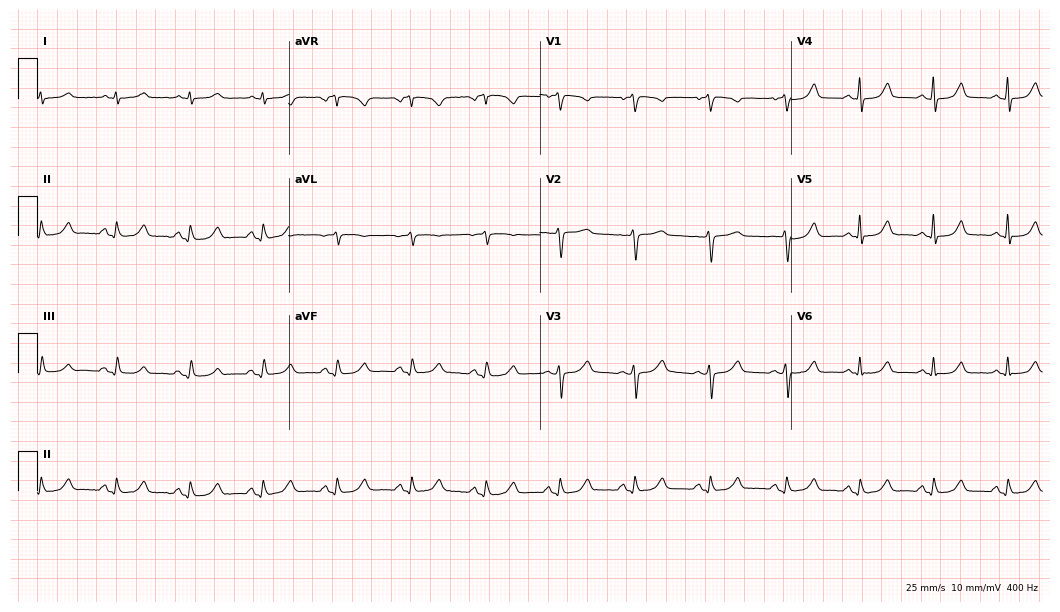
ECG — a female, 45 years old. Labelled as a normal ECG.